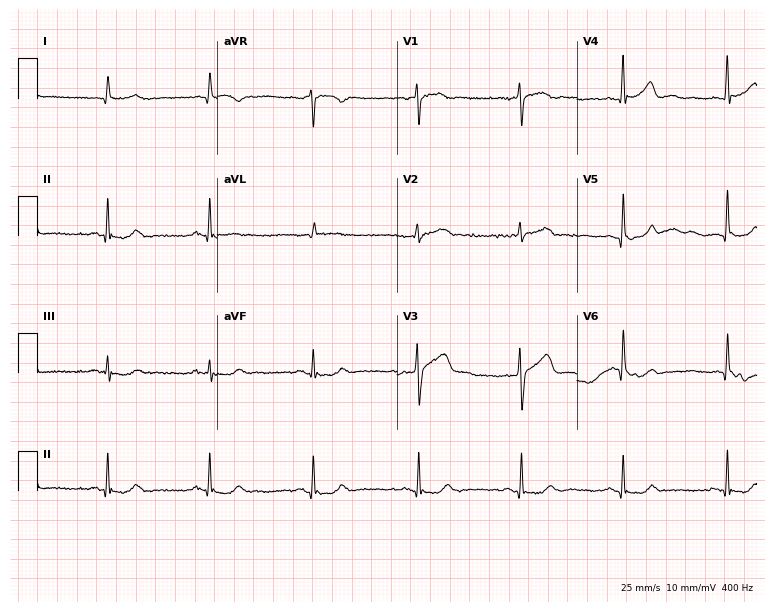
Electrocardiogram (7.3-second recording at 400 Hz), a male, 85 years old. Overall reading on record: normal ECG.